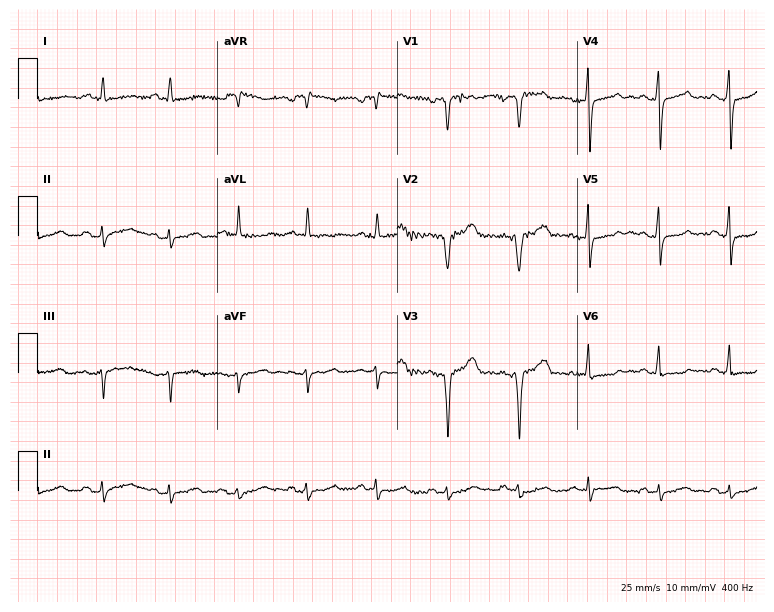
Standard 12-lead ECG recorded from a 62-year-old woman. None of these six findings is recorded: first-degree AV block, right bundle branch block, left bundle branch block, sinus bradycardia, atrial fibrillation, sinus tachycardia.